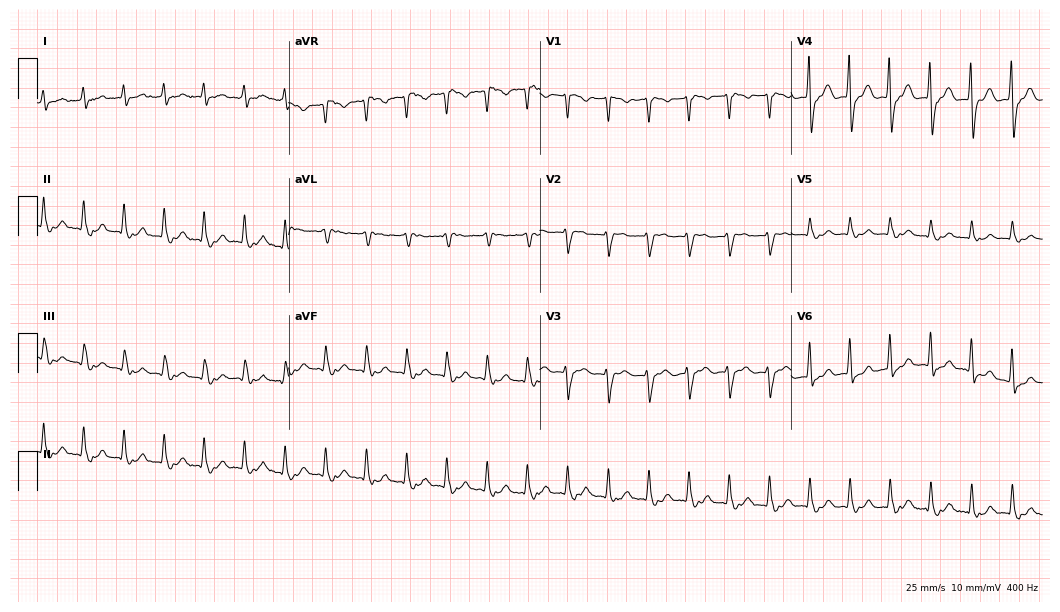
ECG — an 83-year-old man. Screened for six findings — first-degree AV block, right bundle branch block, left bundle branch block, sinus bradycardia, atrial fibrillation, sinus tachycardia — none is recorded. Other findings, if any, are not listed.